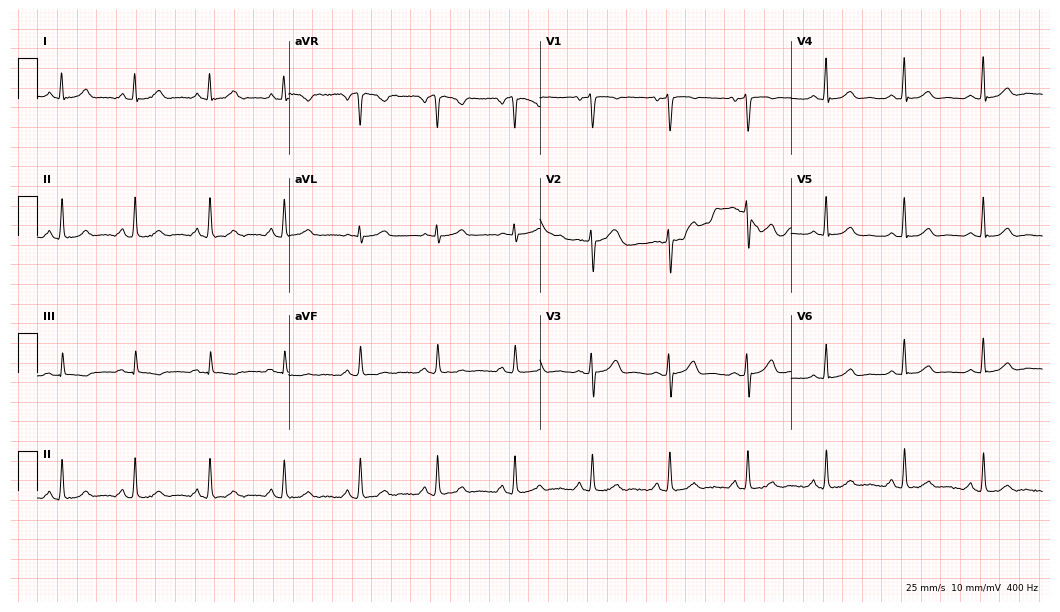
Electrocardiogram (10.2-second recording at 400 Hz), a 56-year-old female. Overall reading on record: normal ECG.